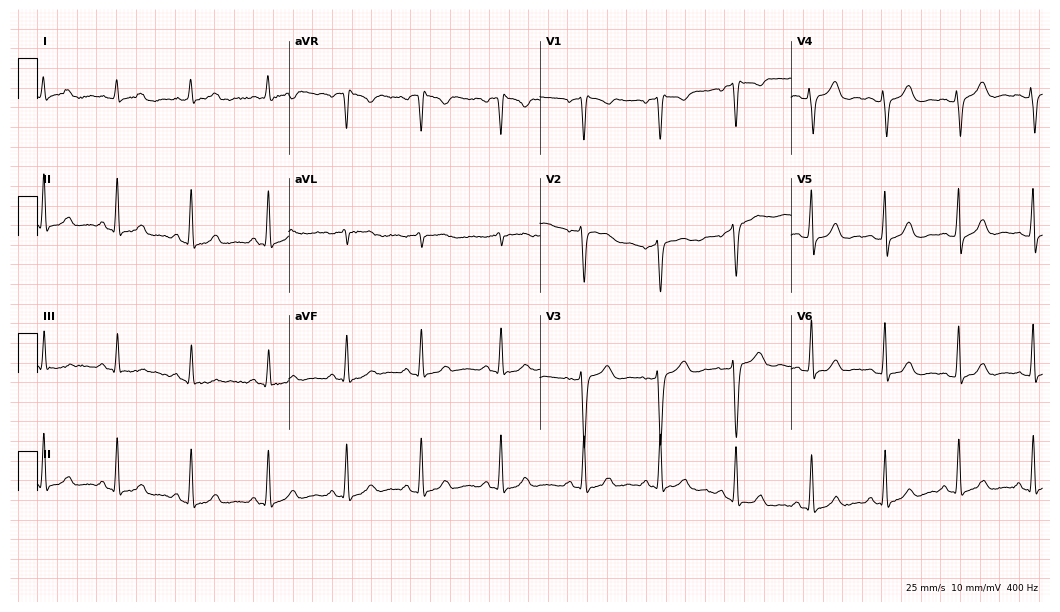
Electrocardiogram (10.2-second recording at 400 Hz), a 42-year-old female patient. Of the six screened findings (first-degree AV block, right bundle branch block, left bundle branch block, sinus bradycardia, atrial fibrillation, sinus tachycardia), none is recorded. Only these six findings were labelled.